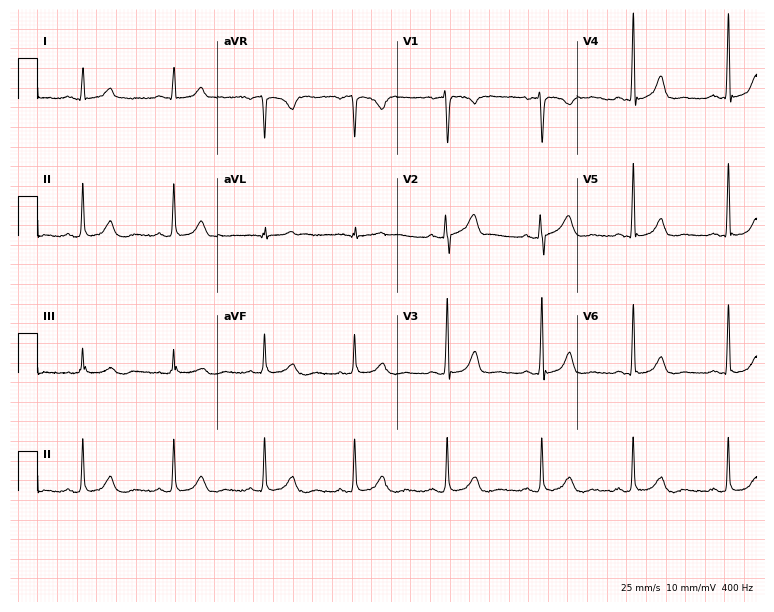
ECG — a female, 36 years old. Labelled as a normal ECG.